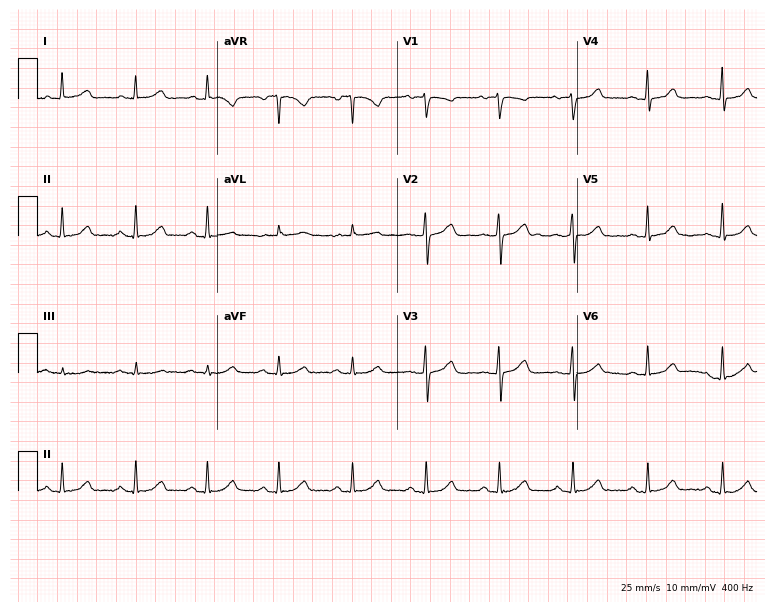
Resting 12-lead electrocardiogram. Patient: a female, 59 years old. Read as a normal ECG.